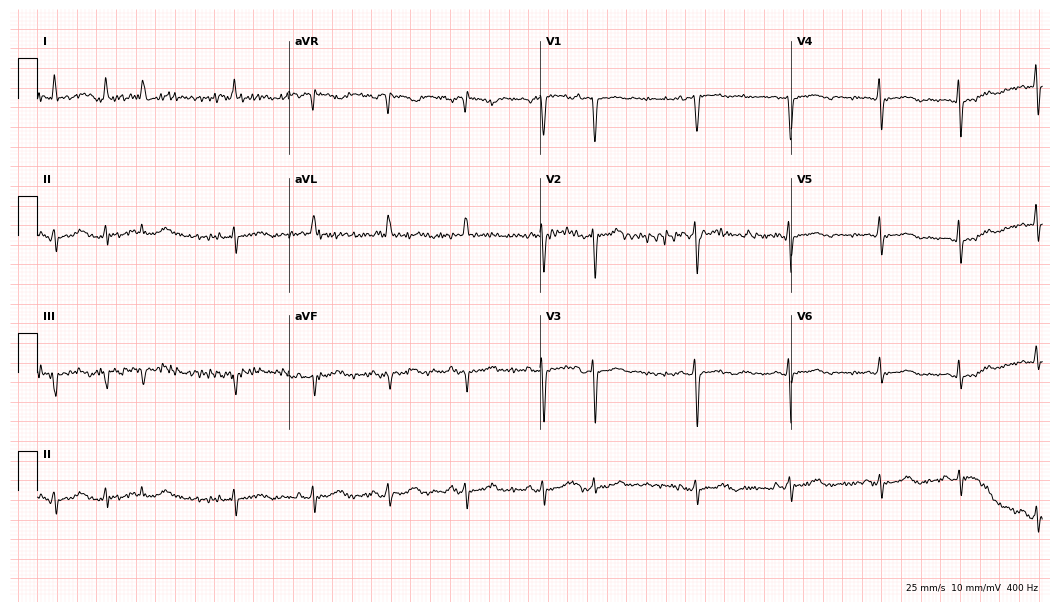
12-lead ECG (10.2-second recording at 400 Hz) from a female, 85 years old. Screened for six findings — first-degree AV block, right bundle branch block, left bundle branch block, sinus bradycardia, atrial fibrillation, sinus tachycardia — none is recorded.